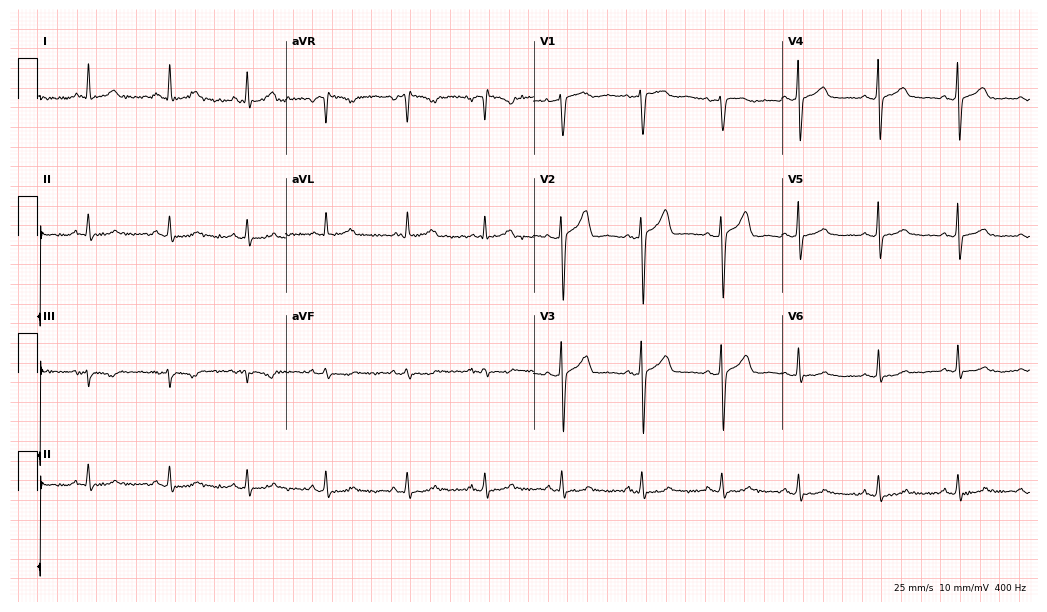
Resting 12-lead electrocardiogram (10.1-second recording at 400 Hz). Patient: a 47-year-old female. None of these six findings is recorded: first-degree AV block, right bundle branch block, left bundle branch block, sinus bradycardia, atrial fibrillation, sinus tachycardia. Findings outside these six are not listed.